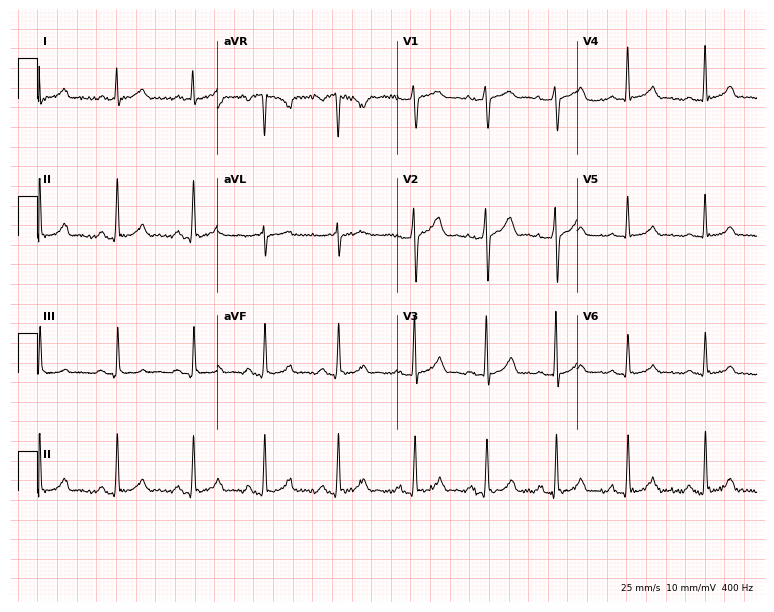
Resting 12-lead electrocardiogram (7.3-second recording at 400 Hz). Patient: a 31-year-old woman. None of these six findings is recorded: first-degree AV block, right bundle branch block, left bundle branch block, sinus bradycardia, atrial fibrillation, sinus tachycardia. Other findings, if any, are not listed.